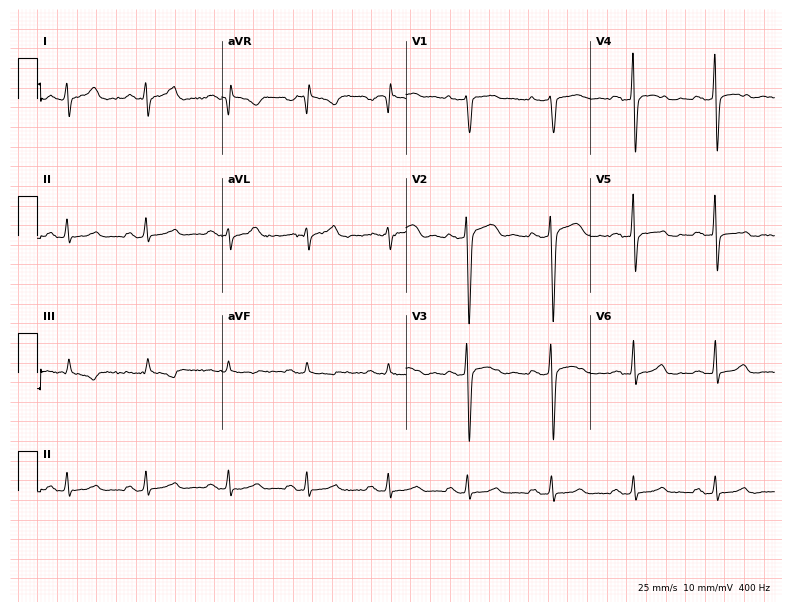
ECG (7.5-second recording at 400 Hz) — a 30-year-old man. Screened for six findings — first-degree AV block, right bundle branch block, left bundle branch block, sinus bradycardia, atrial fibrillation, sinus tachycardia — none is recorded. Only these six findings were labelled.